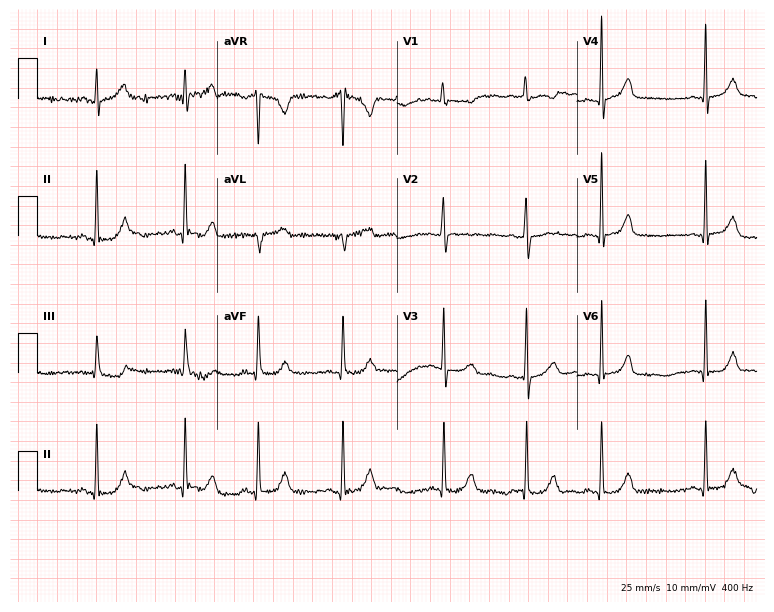
Standard 12-lead ECG recorded from an 18-year-old female patient. Read as a normal ECG.